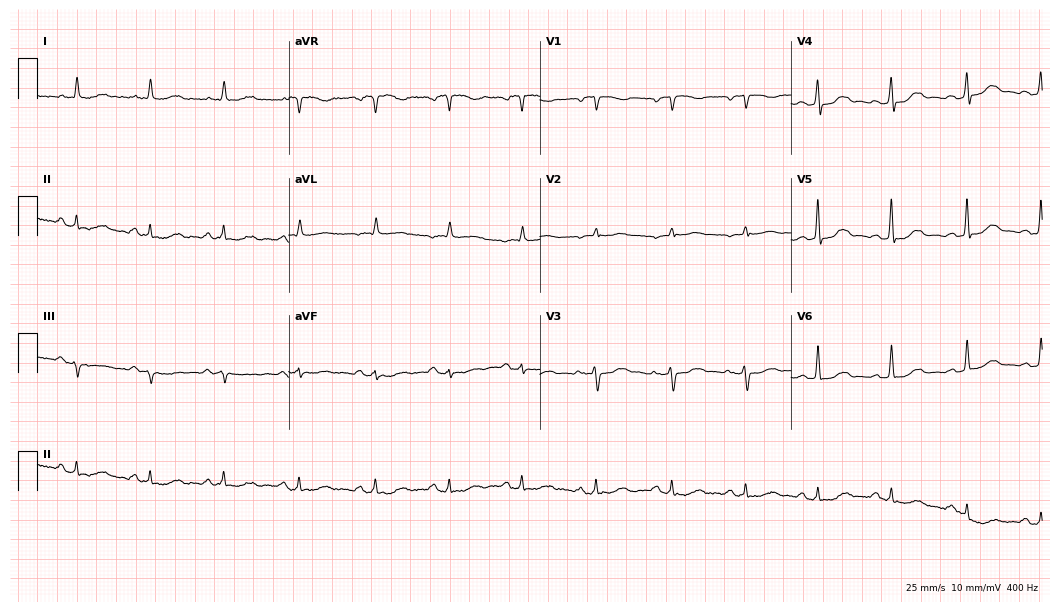
12-lead ECG from a 73-year-old female (10.2-second recording at 400 Hz). No first-degree AV block, right bundle branch block, left bundle branch block, sinus bradycardia, atrial fibrillation or sinus tachycardia recorded for this tracing.